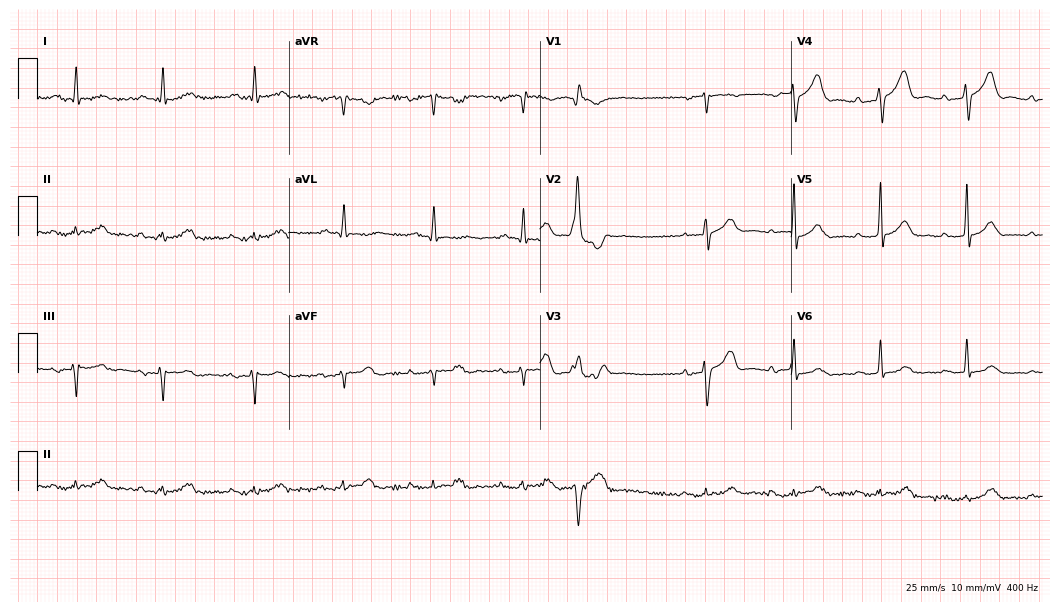
ECG (10.2-second recording at 400 Hz) — a 65-year-old man. Findings include first-degree AV block.